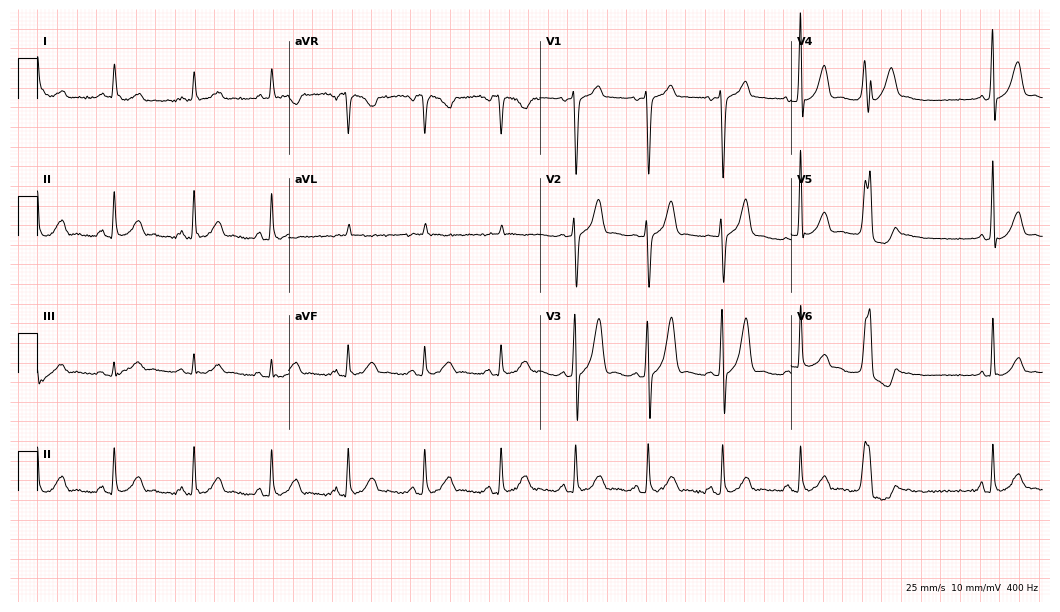
Standard 12-lead ECG recorded from a male, 61 years old. None of these six findings is recorded: first-degree AV block, right bundle branch block (RBBB), left bundle branch block (LBBB), sinus bradycardia, atrial fibrillation (AF), sinus tachycardia. Other findings, if any, are not listed.